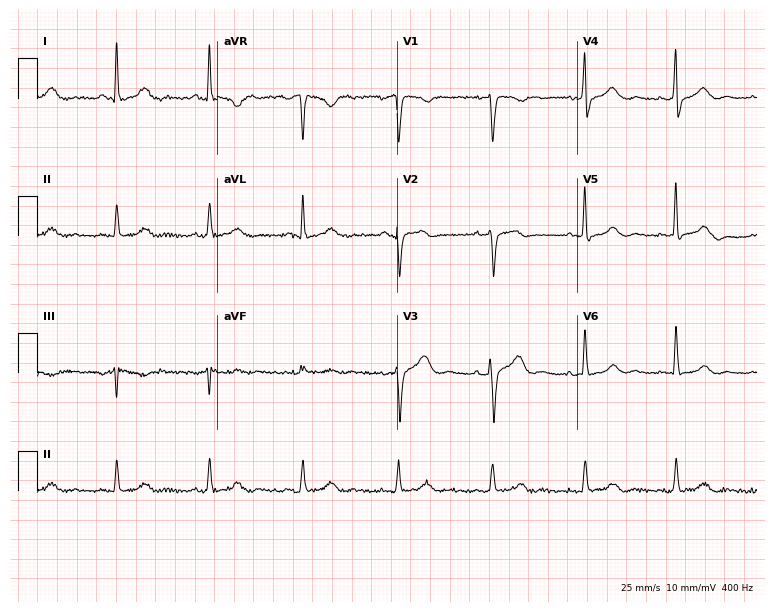
Electrocardiogram (7.3-second recording at 400 Hz), a female patient, 52 years old. Of the six screened findings (first-degree AV block, right bundle branch block, left bundle branch block, sinus bradycardia, atrial fibrillation, sinus tachycardia), none is recorded.